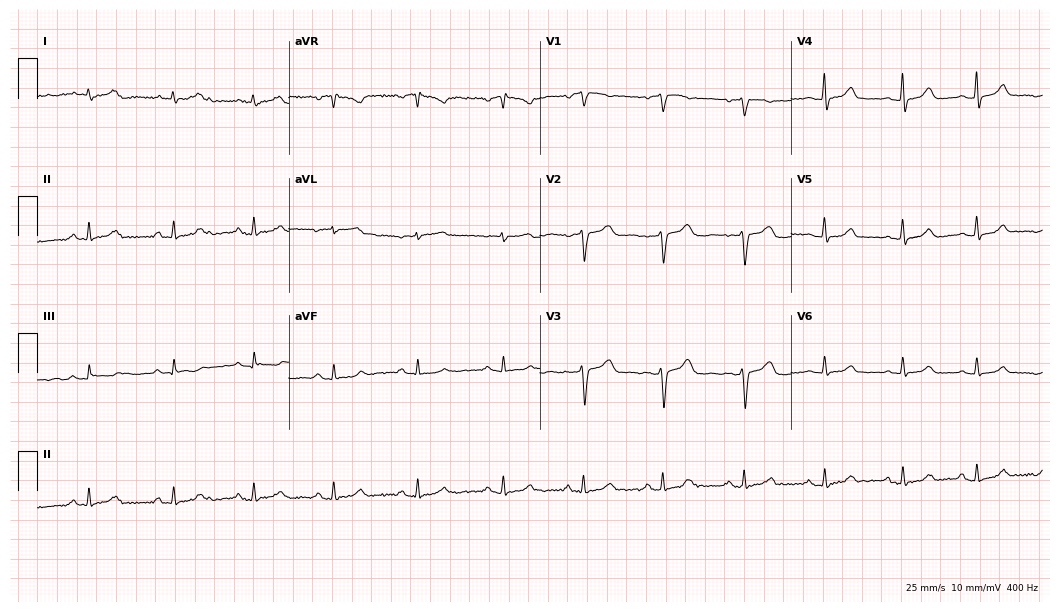
12-lead ECG from a woman, 45 years old. No first-degree AV block, right bundle branch block (RBBB), left bundle branch block (LBBB), sinus bradycardia, atrial fibrillation (AF) or sinus tachycardia recorded for this tracing. Findings outside these six are not listed.